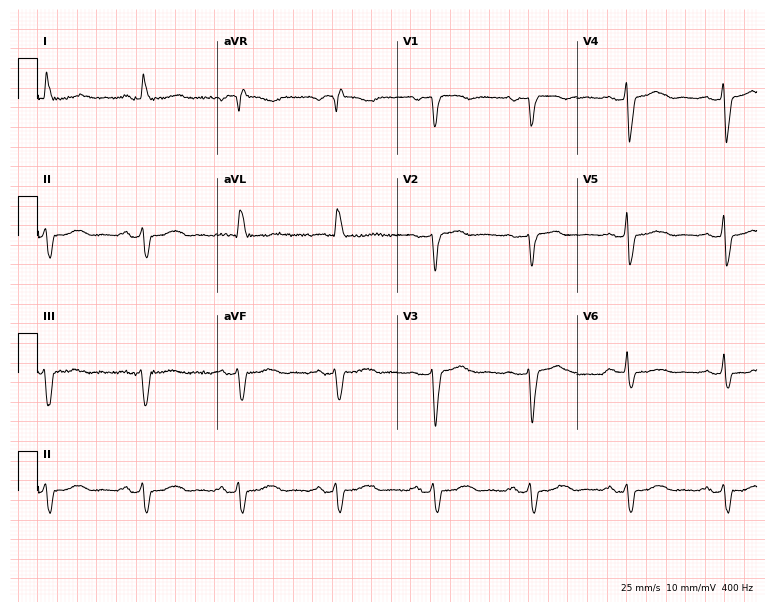
12-lead ECG from a 79-year-old woman. Shows left bundle branch block.